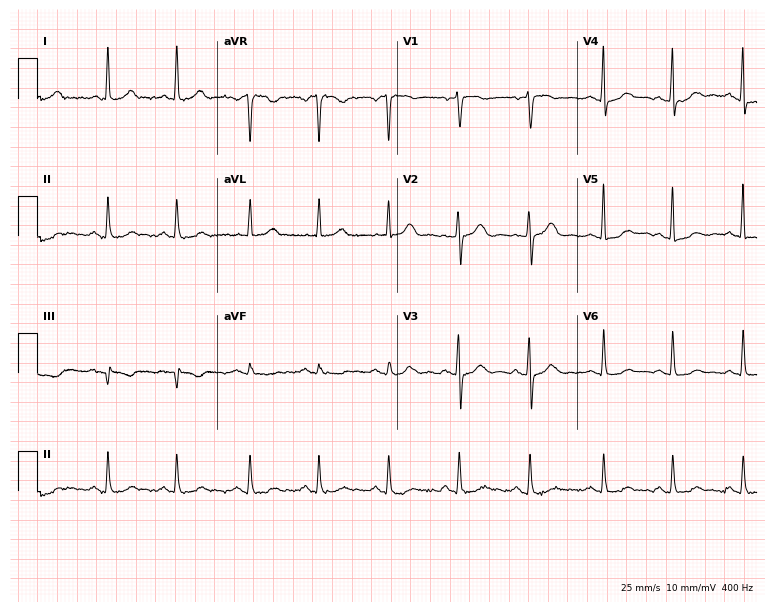
Electrocardiogram, a female patient, 63 years old. Of the six screened findings (first-degree AV block, right bundle branch block (RBBB), left bundle branch block (LBBB), sinus bradycardia, atrial fibrillation (AF), sinus tachycardia), none is recorded. Other findings, if any, are not listed.